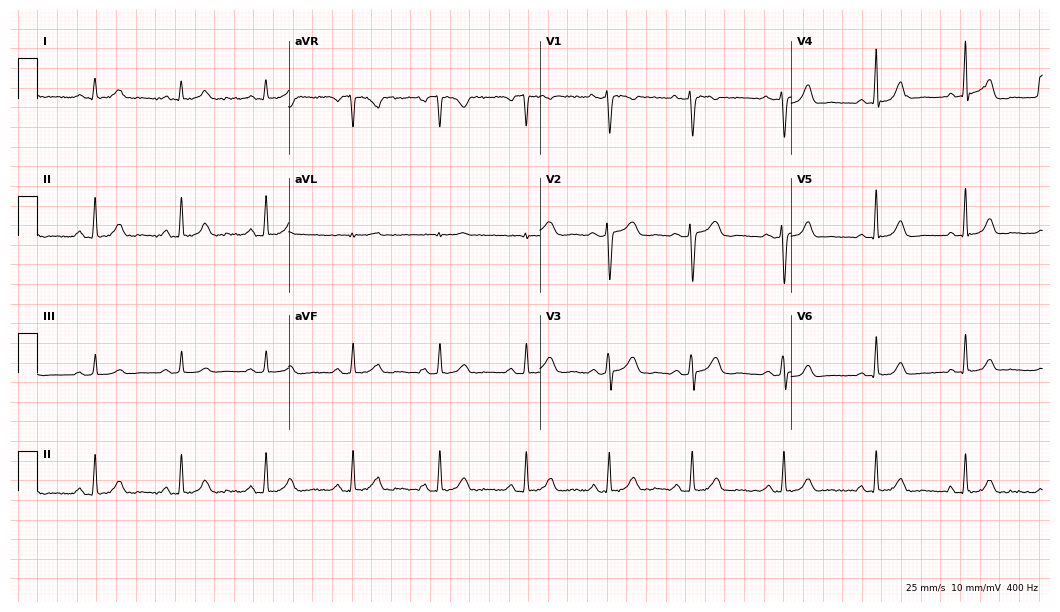
ECG — a 35-year-old female patient. Labelled as a normal ECG.